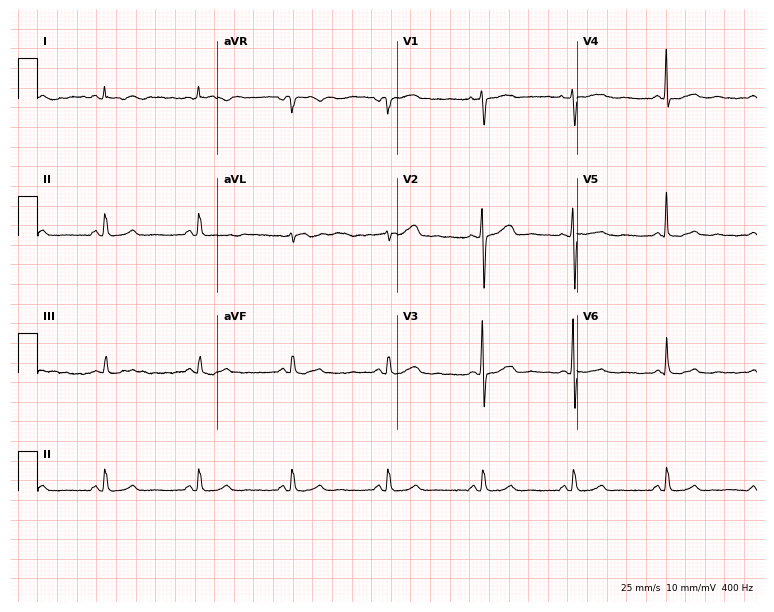
Electrocardiogram, a 41-year-old female patient. Of the six screened findings (first-degree AV block, right bundle branch block (RBBB), left bundle branch block (LBBB), sinus bradycardia, atrial fibrillation (AF), sinus tachycardia), none is recorded. Only these six findings were labelled.